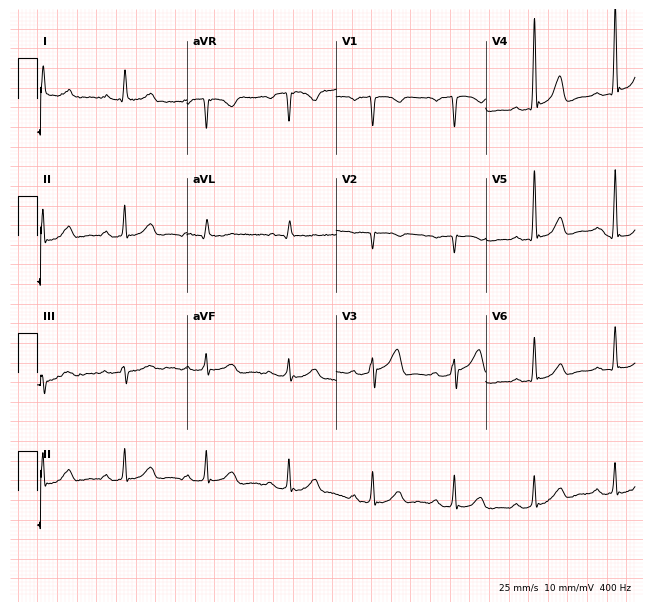
Electrocardiogram (6.1-second recording at 400 Hz), a male patient, 59 years old. Of the six screened findings (first-degree AV block, right bundle branch block, left bundle branch block, sinus bradycardia, atrial fibrillation, sinus tachycardia), none is recorded.